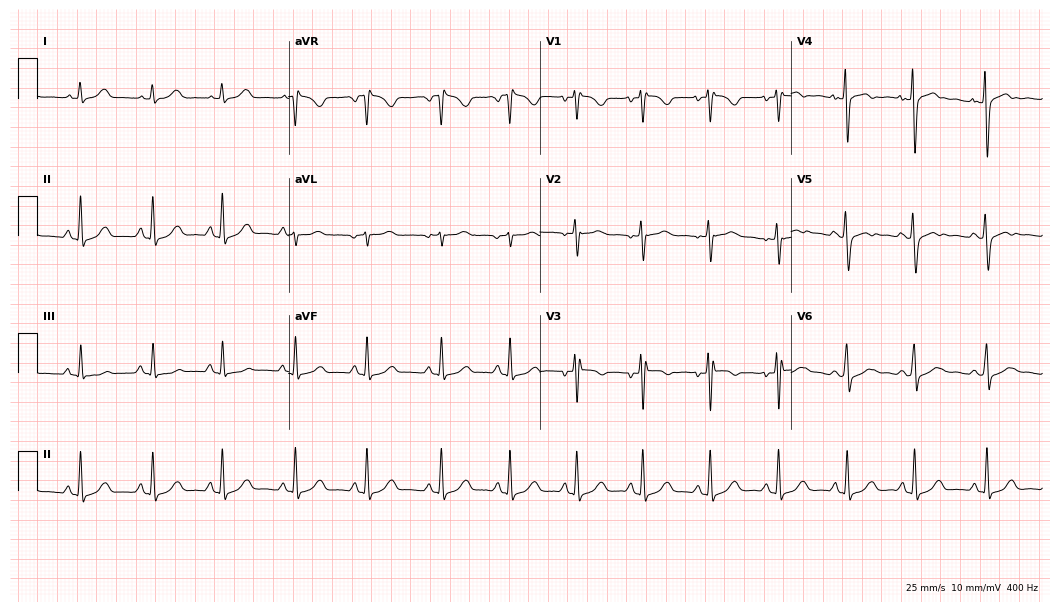
12-lead ECG from a female, 31 years old. Screened for six findings — first-degree AV block, right bundle branch block (RBBB), left bundle branch block (LBBB), sinus bradycardia, atrial fibrillation (AF), sinus tachycardia — none is recorded.